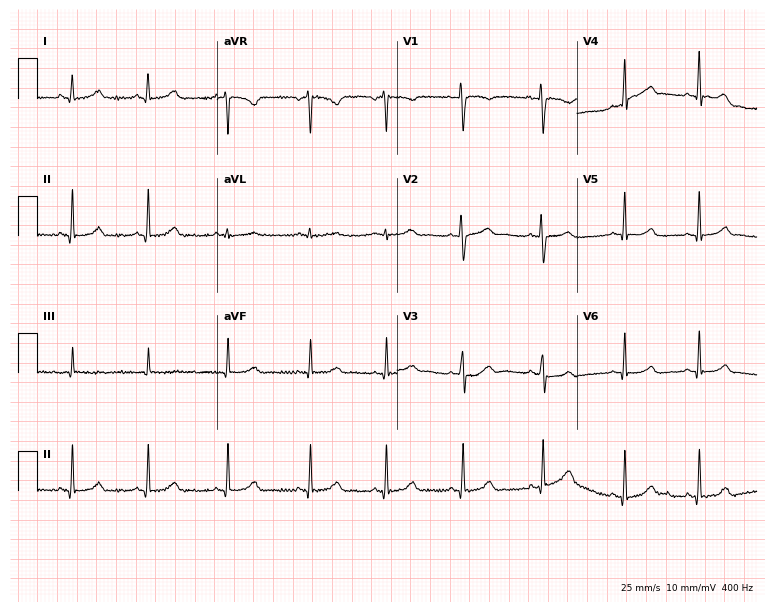
12-lead ECG from a female, 23 years old. Labelled as a normal ECG.